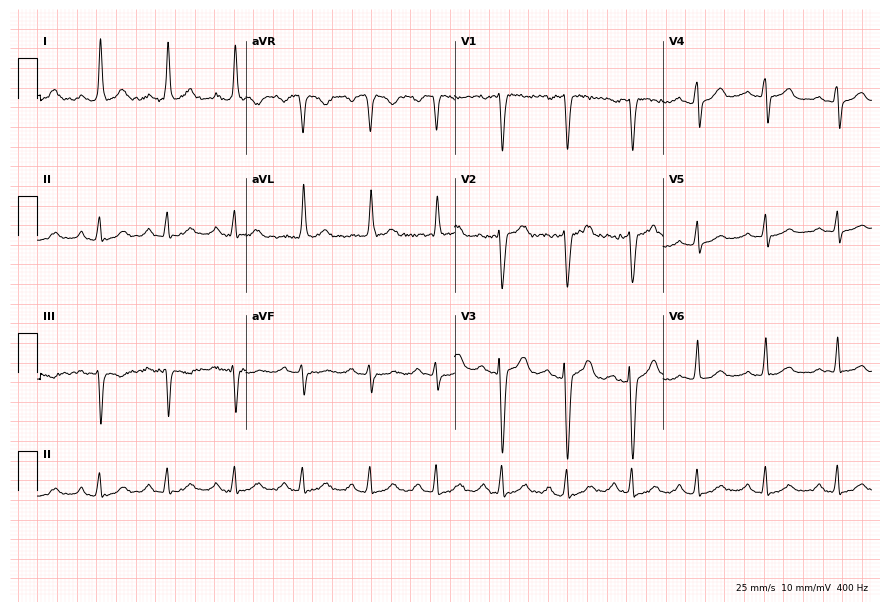
12-lead ECG (8.5-second recording at 400 Hz) from a female patient, 56 years old. Labelled as a normal ECG.